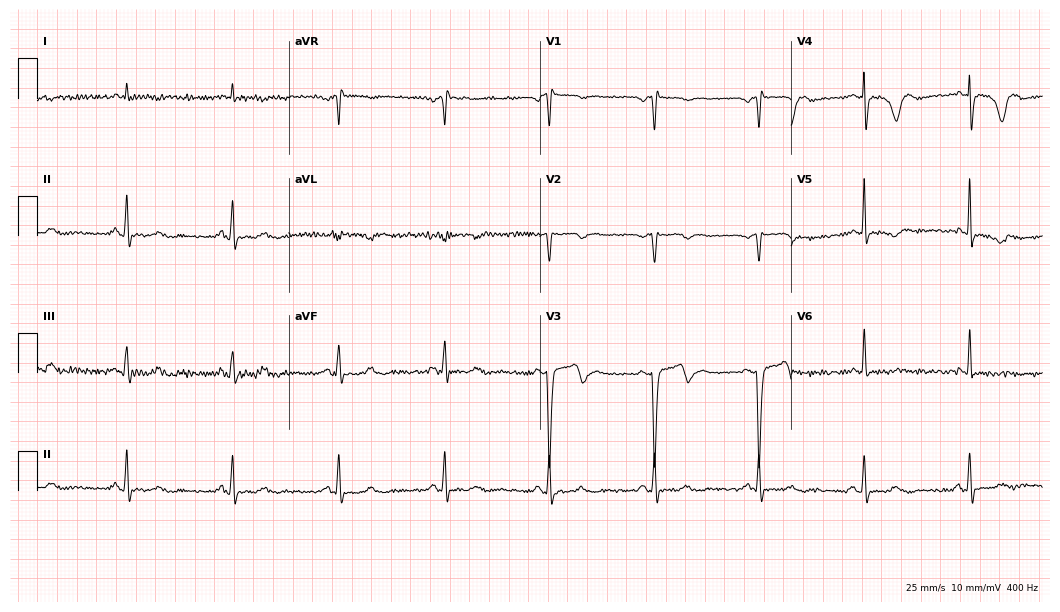
Electrocardiogram (10.2-second recording at 400 Hz), a 72-year-old male patient. Overall reading on record: normal ECG.